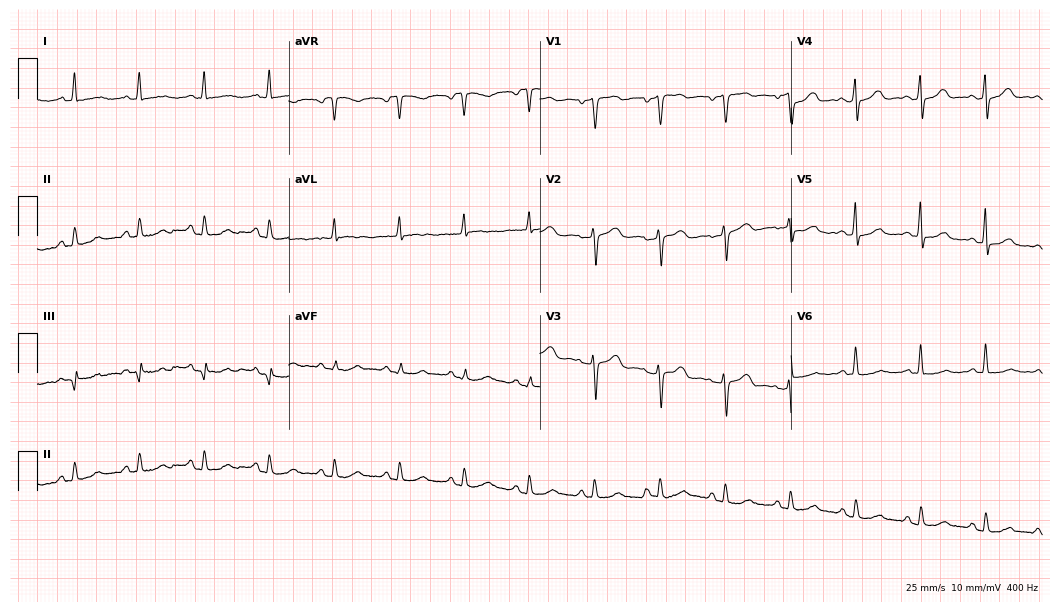
Resting 12-lead electrocardiogram (10.2-second recording at 400 Hz). Patient: a 62-year-old woman. None of these six findings is recorded: first-degree AV block, right bundle branch block, left bundle branch block, sinus bradycardia, atrial fibrillation, sinus tachycardia. Only these six findings were labelled.